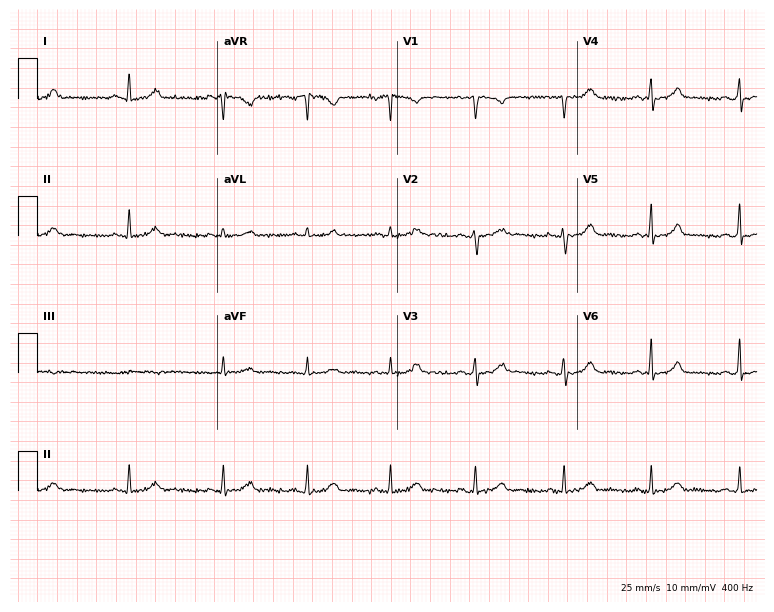
Electrocardiogram, a 37-year-old female. Overall reading on record: normal ECG.